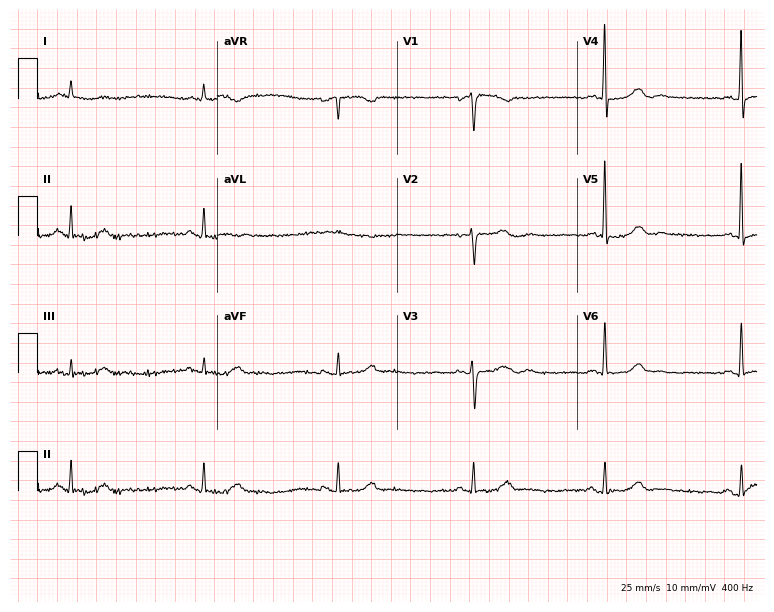
12-lead ECG from a female, 67 years old. Shows sinus bradycardia (a sinus rate of 50 beats per minute or less).